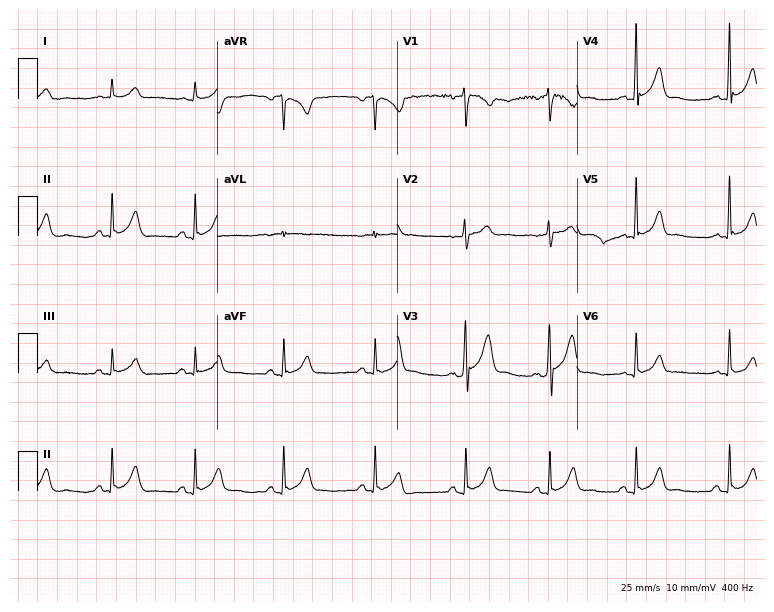
Standard 12-lead ECG recorded from a 52-year-old male. Read as a normal ECG.